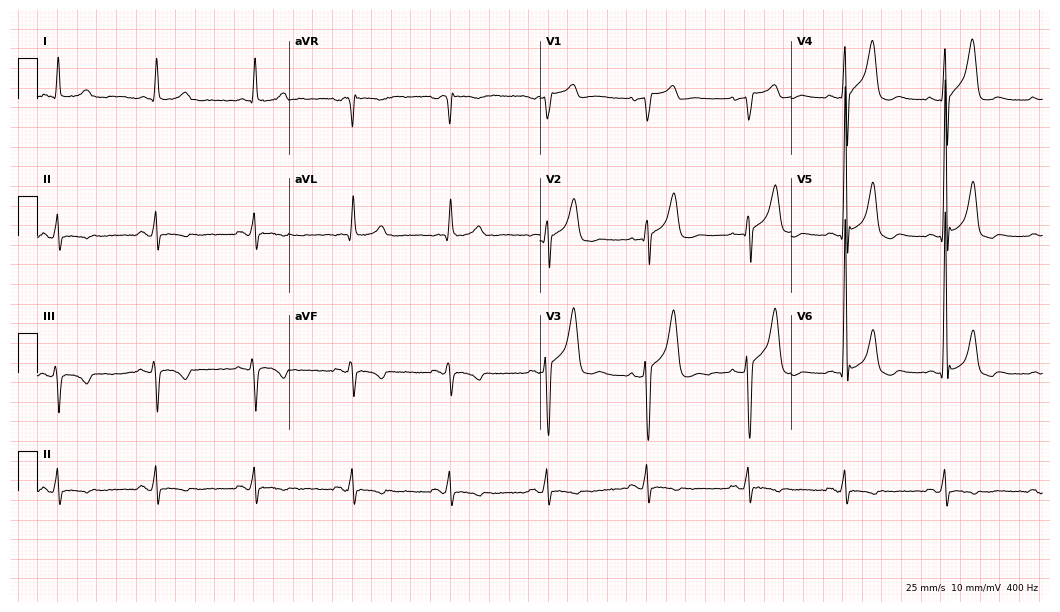
12-lead ECG (10.2-second recording at 400 Hz) from a male, 67 years old. Labelled as a normal ECG.